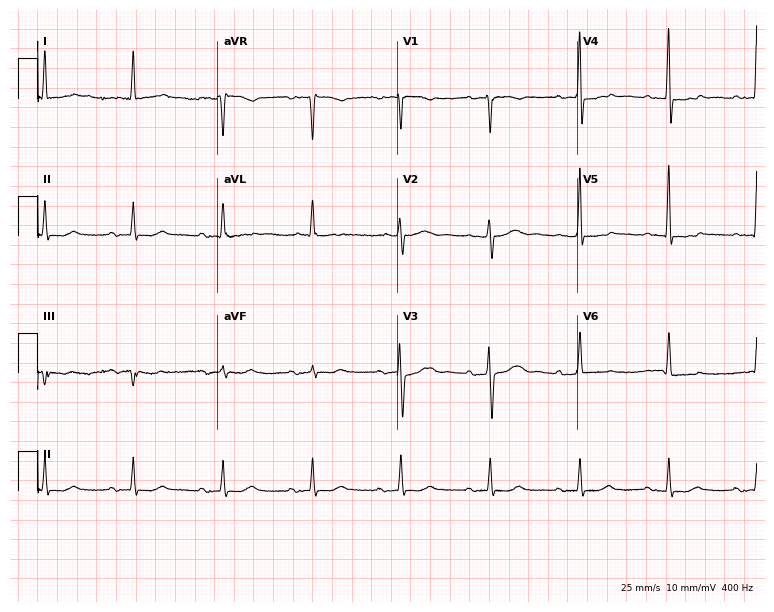
12-lead ECG from an 83-year-old female patient. Labelled as a normal ECG.